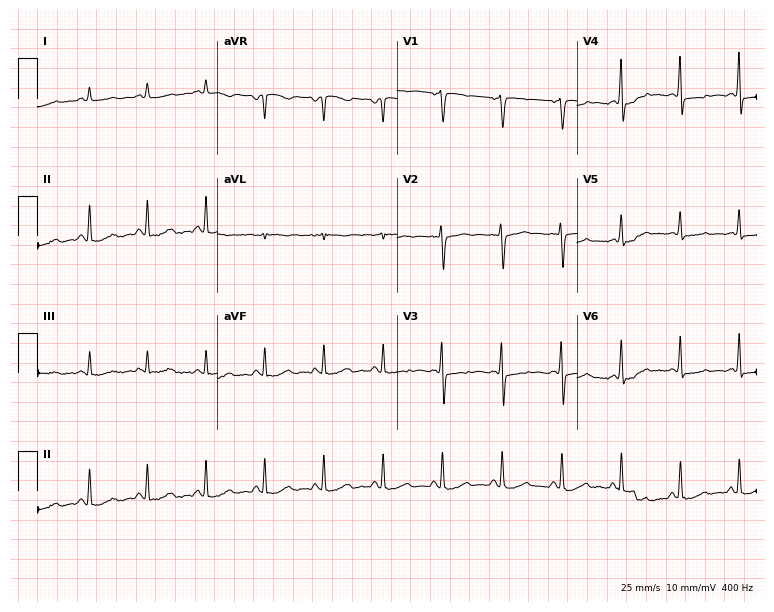
Standard 12-lead ECG recorded from a female patient, 69 years old. None of these six findings is recorded: first-degree AV block, right bundle branch block, left bundle branch block, sinus bradycardia, atrial fibrillation, sinus tachycardia. Only these six findings were labelled.